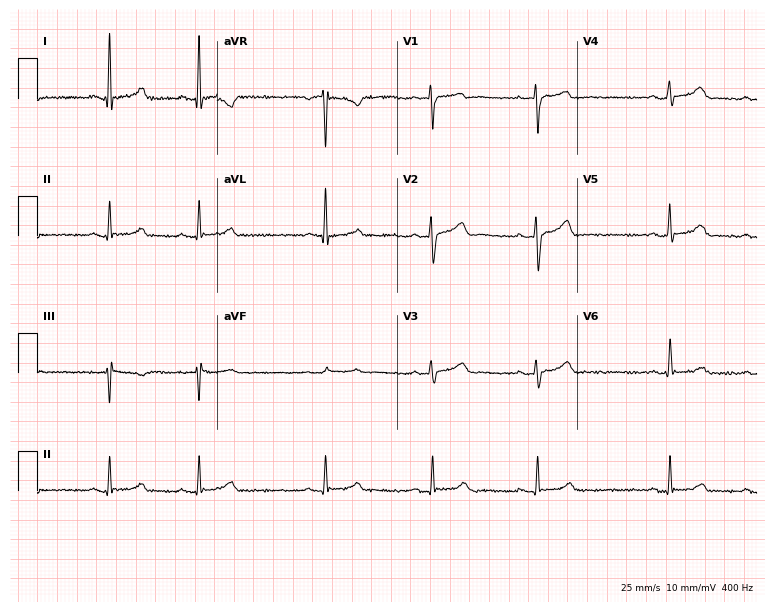
12-lead ECG from a woman, 35 years old. Labelled as a normal ECG.